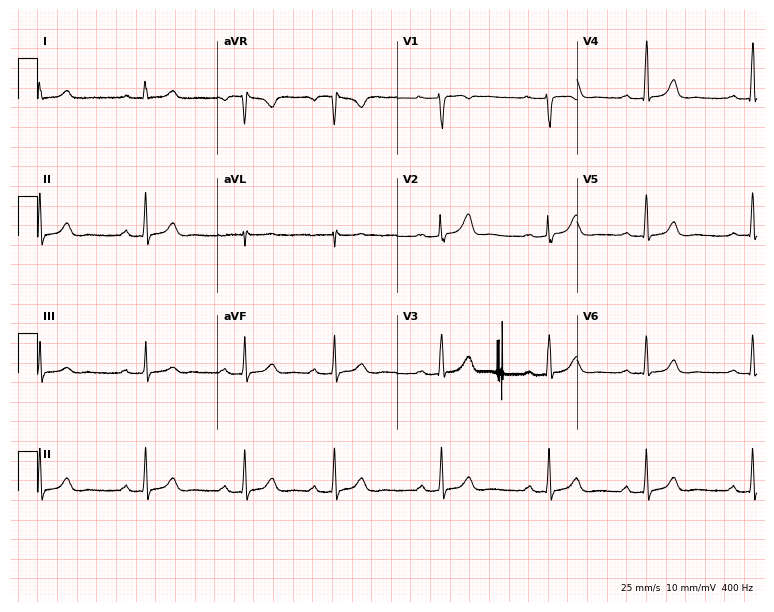
ECG — a 24-year-old woman. Labelled as a normal ECG.